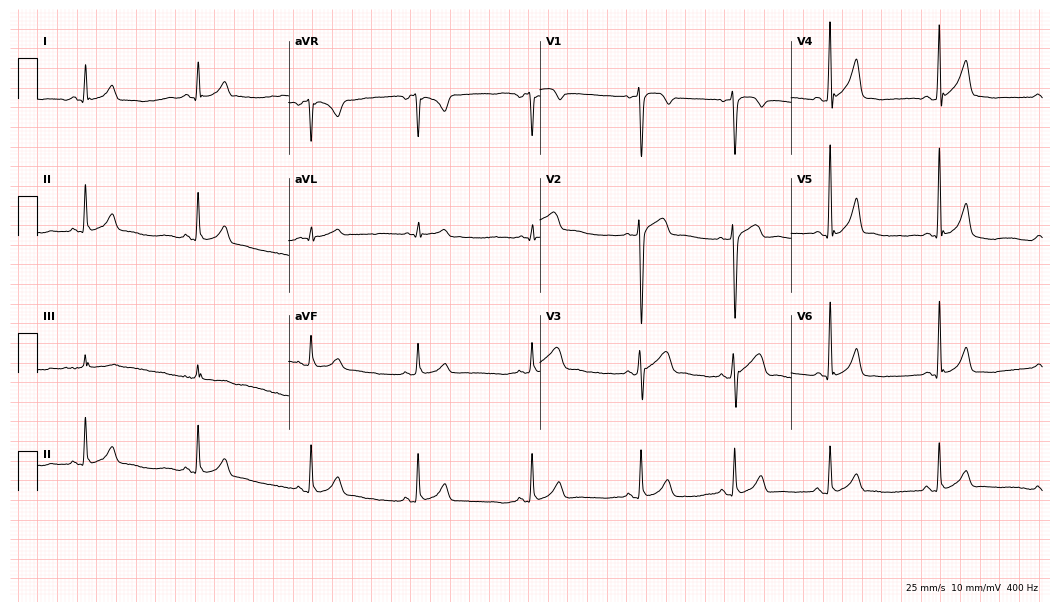
12-lead ECG from a 27-year-old male patient. Recorded interpretation: within normal limits.